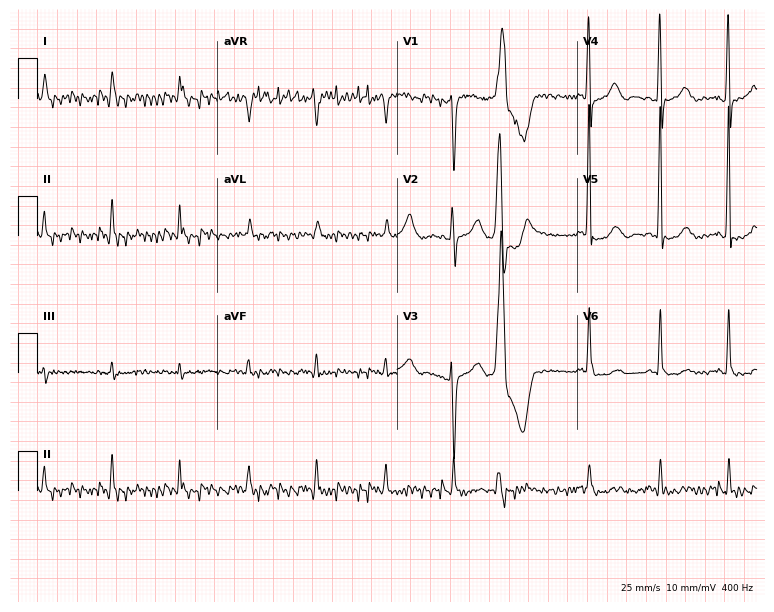
Resting 12-lead electrocardiogram (7.3-second recording at 400 Hz). Patient: a 73-year-old man. None of these six findings is recorded: first-degree AV block, right bundle branch block (RBBB), left bundle branch block (LBBB), sinus bradycardia, atrial fibrillation (AF), sinus tachycardia. Findings outside these six are not listed.